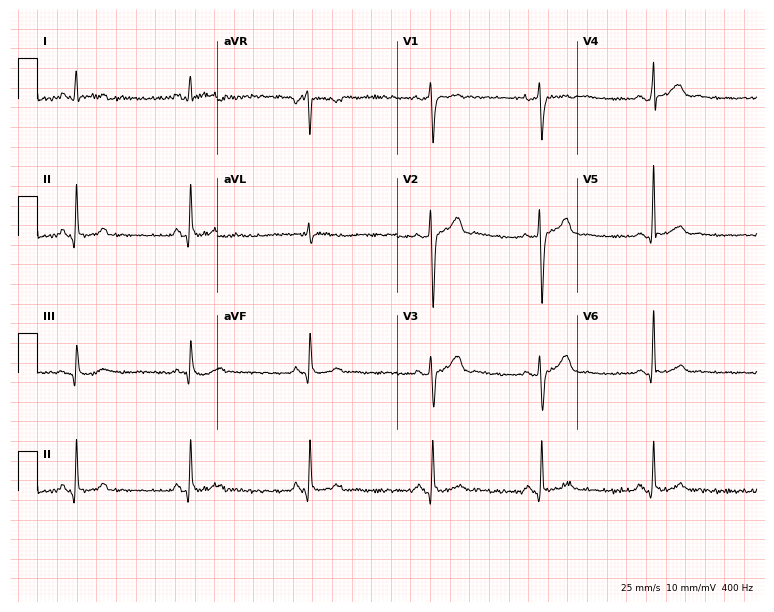
ECG (7.3-second recording at 400 Hz) — a 35-year-old male. Screened for six findings — first-degree AV block, right bundle branch block (RBBB), left bundle branch block (LBBB), sinus bradycardia, atrial fibrillation (AF), sinus tachycardia — none is recorded.